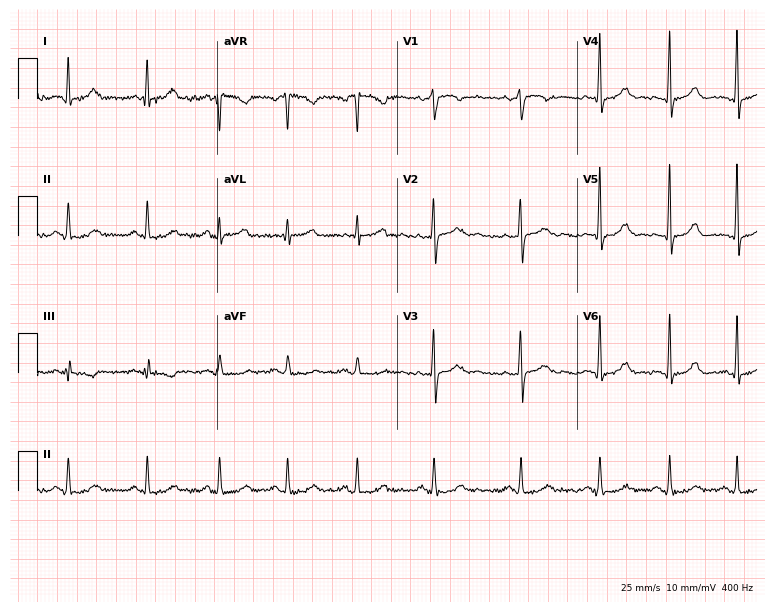
12-lead ECG (7.3-second recording at 400 Hz) from a female patient, 42 years old. Screened for six findings — first-degree AV block, right bundle branch block (RBBB), left bundle branch block (LBBB), sinus bradycardia, atrial fibrillation (AF), sinus tachycardia — none is recorded.